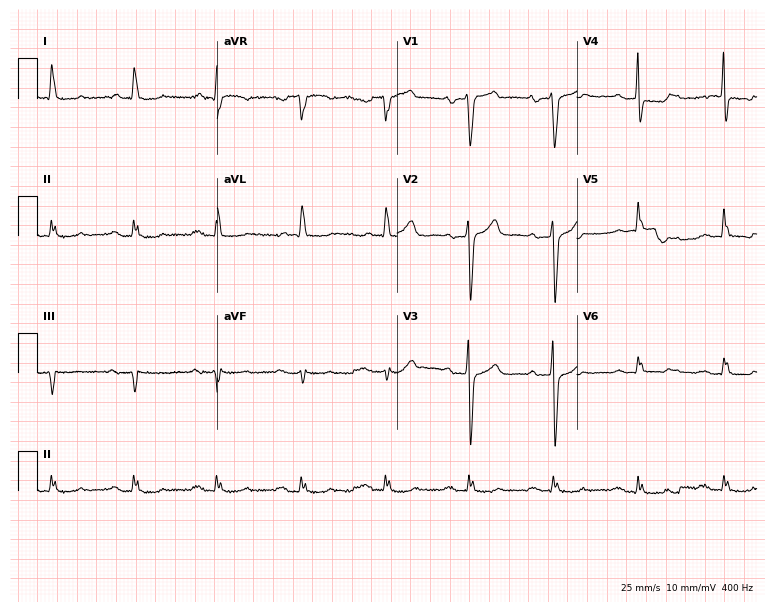
Resting 12-lead electrocardiogram (7.3-second recording at 400 Hz). Patient: a man, 67 years old. The tracing shows first-degree AV block.